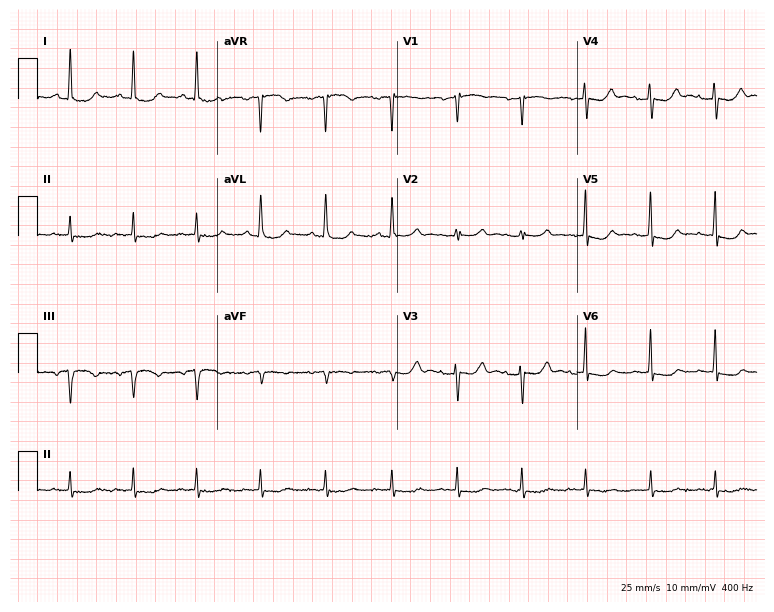
Standard 12-lead ECG recorded from a 72-year-old female. None of these six findings is recorded: first-degree AV block, right bundle branch block (RBBB), left bundle branch block (LBBB), sinus bradycardia, atrial fibrillation (AF), sinus tachycardia.